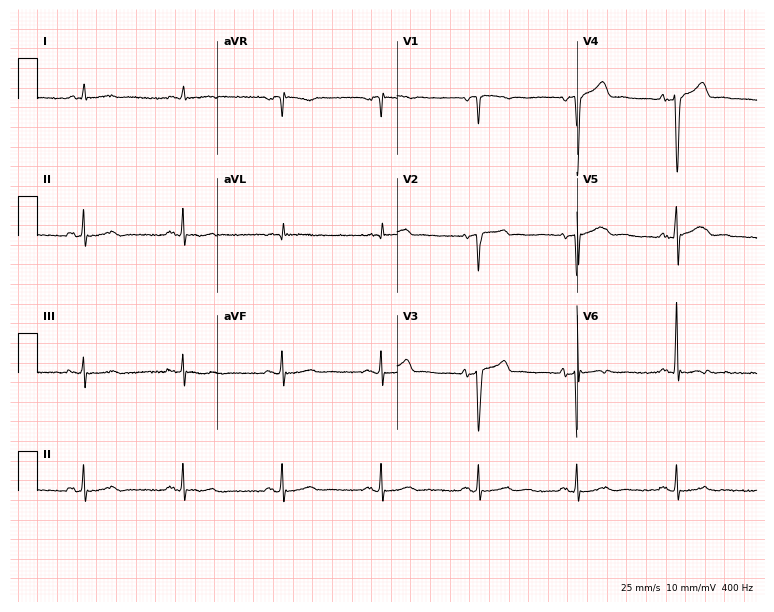
12-lead ECG from a man, 71 years old. Screened for six findings — first-degree AV block, right bundle branch block, left bundle branch block, sinus bradycardia, atrial fibrillation, sinus tachycardia — none is recorded. Findings outside these six are not listed.